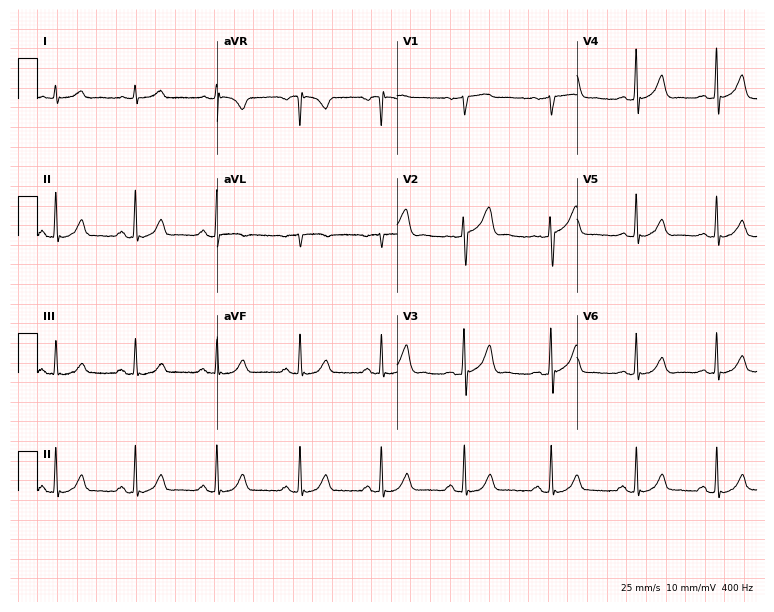
Standard 12-lead ECG recorded from a 48-year-old male patient (7.3-second recording at 400 Hz). Read as a normal ECG.